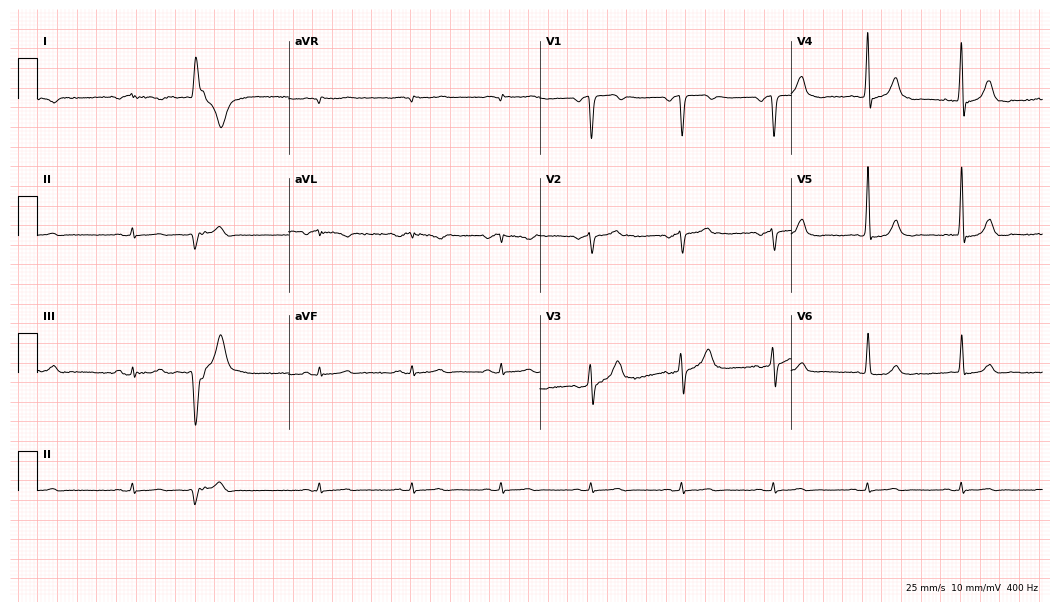
Electrocardiogram (10.2-second recording at 400 Hz), a 21-year-old male. Of the six screened findings (first-degree AV block, right bundle branch block, left bundle branch block, sinus bradycardia, atrial fibrillation, sinus tachycardia), none is recorded.